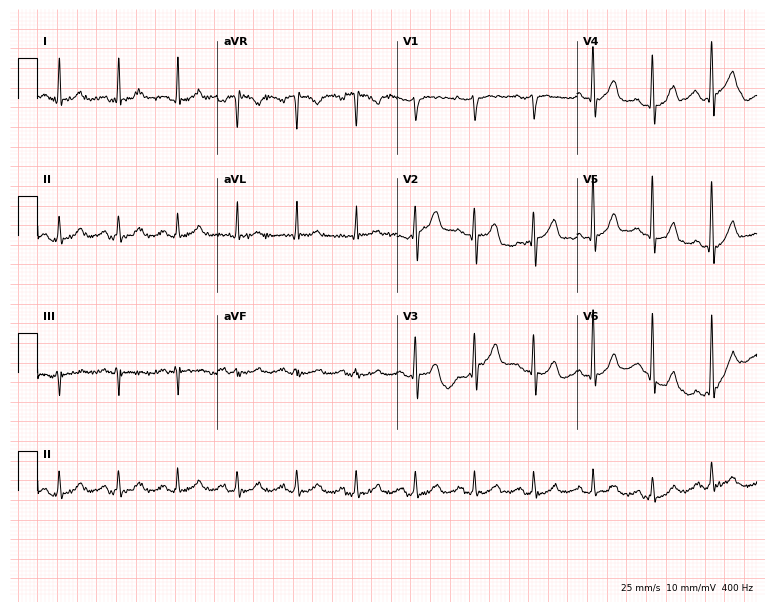
12-lead ECG from a man, 73 years old (7.3-second recording at 400 Hz). Recorded interpretation: within normal limits.